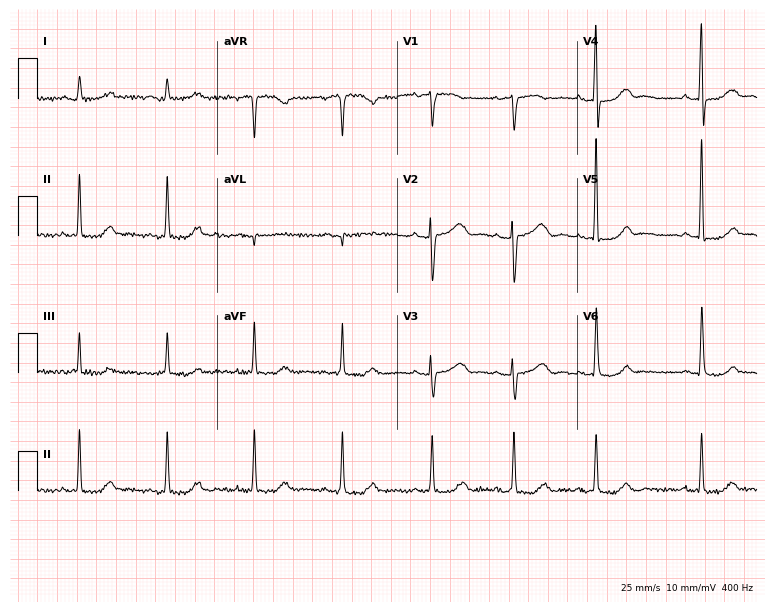
12-lead ECG from a 64-year-old female patient. Labelled as a normal ECG.